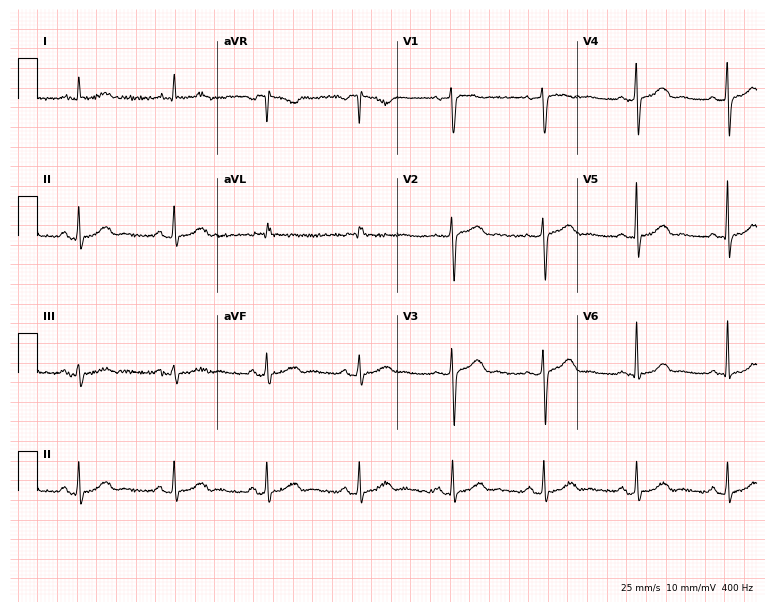
ECG — a 64-year-old female patient. Screened for six findings — first-degree AV block, right bundle branch block, left bundle branch block, sinus bradycardia, atrial fibrillation, sinus tachycardia — none is recorded. Other findings, if any, are not listed.